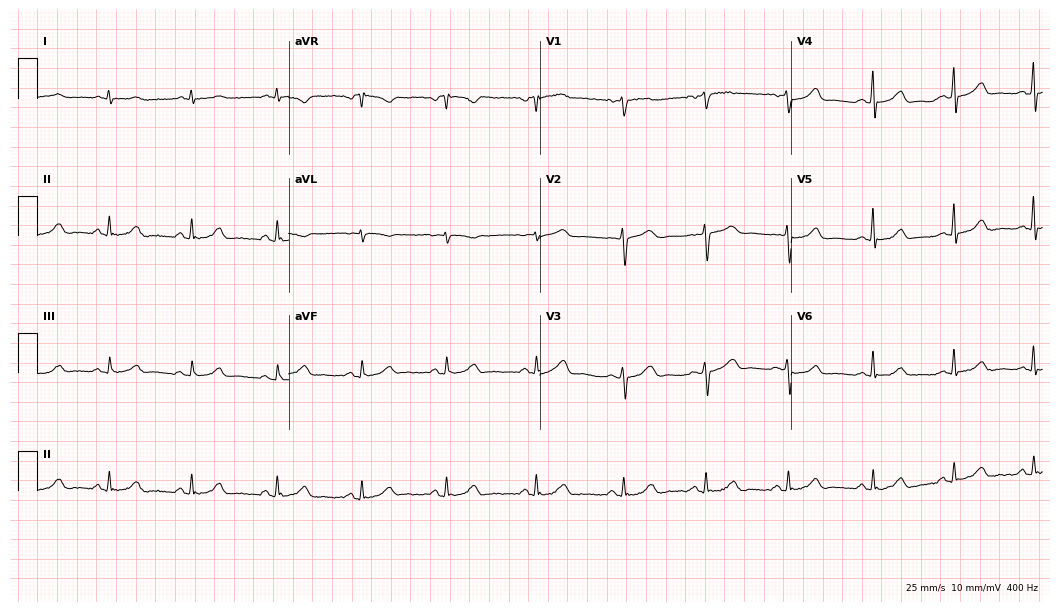
Standard 12-lead ECG recorded from a female, 61 years old. Read as a normal ECG.